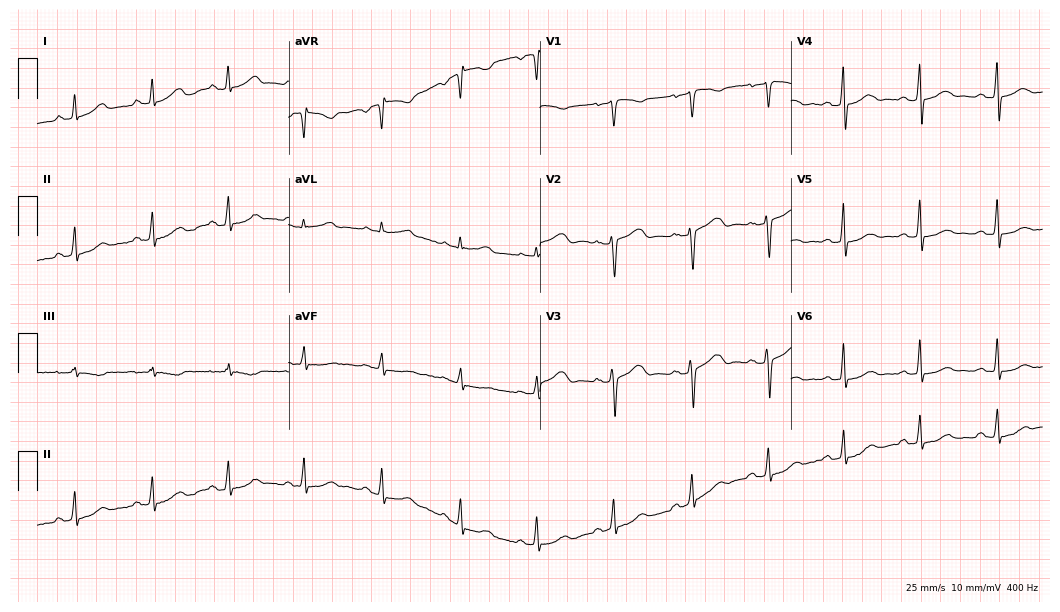
12-lead ECG from a woman, 48 years old. No first-degree AV block, right bundle branch block (RBBB), left bundle branch block (LBBB), sinus bradycardia, atrial fibrillation (AF) or sinus tachycardia recorded for this tracing. Findings outside these six are not listed.